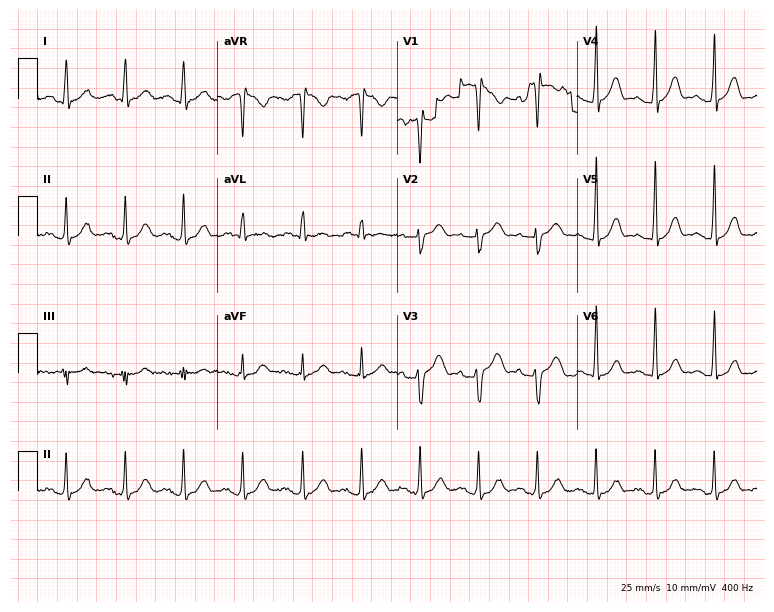
12-lead ECG from a 59-year-old man. Labelled as a normal ECG.